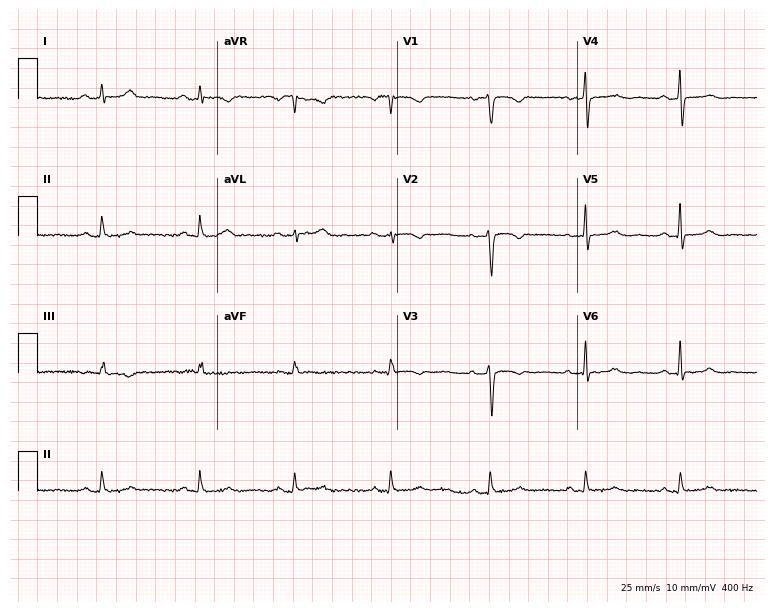
12-lead ECG (7.3-second recording at 400 Hz) from a 63-year-old female patient. Screened for six findings — first-degree AV block, right bundle branch block (RBBB), left bundle branch block (LBBB), sinus bradycardia, atrial fibrillation (AF), sinus tachycardia — none is recorded.